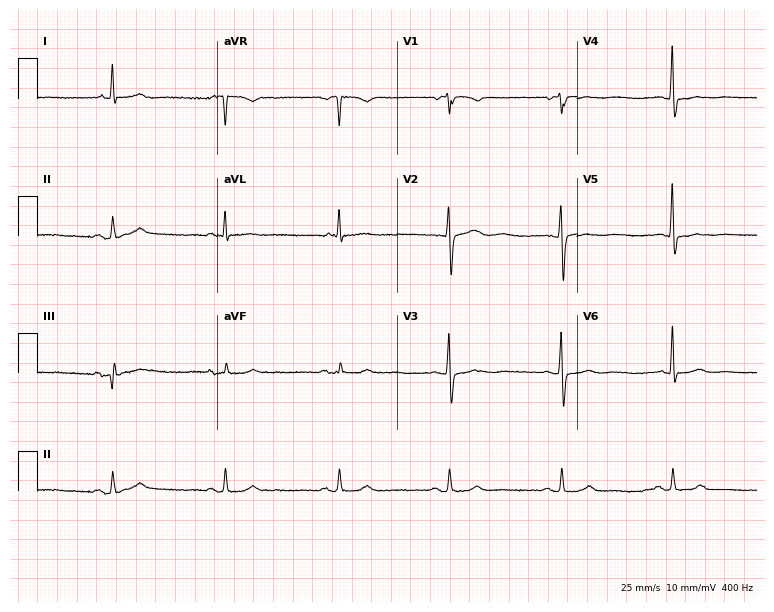
ECG (7.3-second recording at 400 Hz) — a female patient, 80 years old. Screened for six findings — first-degree AV block, right bundle branch block (RBBB), left bundle branch block (LBBB), sinus bradycardia, atrial fibrillation (AF), sinus tachycardia — none is recorded. Only these six findings were labelled.